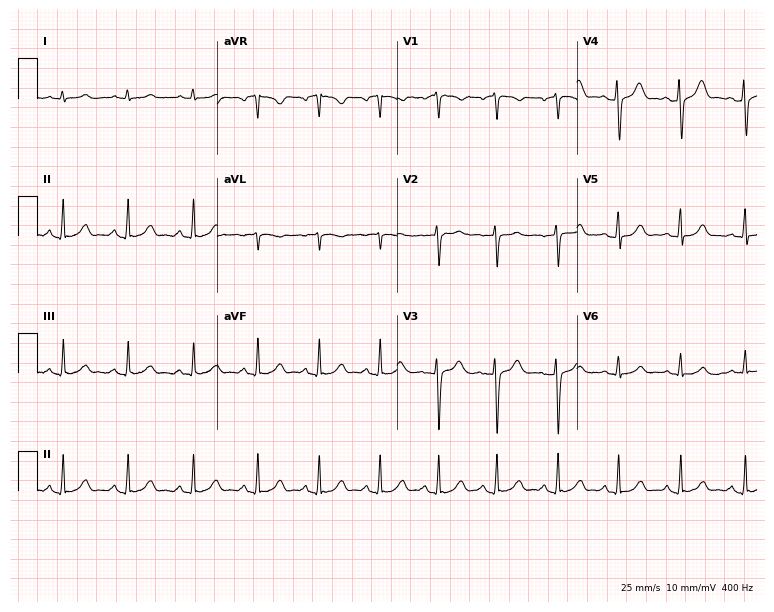
Resting 12-lead electrocardiogram (7.3-second recording at 400 Hz). Patient: a female, 38 years old. Read as a normal ECG.